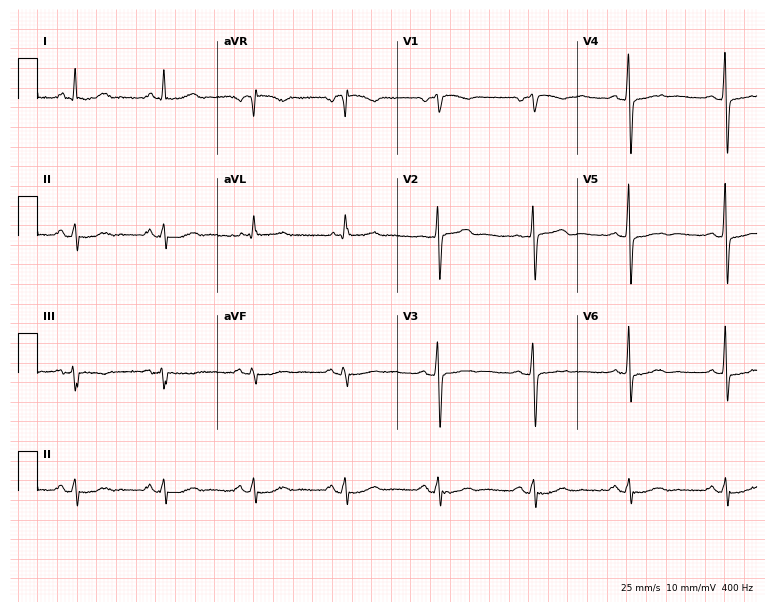
12-lead ECG (7.3-second recording at 400 Hz) from a man, 72 years old. Screened for six findings — first-degree AV block, right bundle branch block, left bundle branch block, sinus bradycardia, atrial fibrillation, sinus tachycardia — none is recorded. Findings outside these six are not listed.